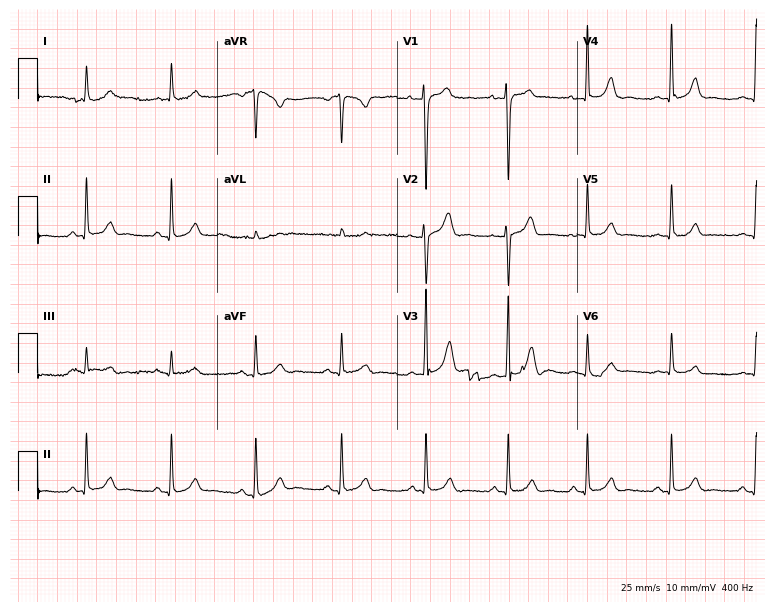
ECG (7.3-second recording at 400 Hz) — a 34-year-old male. Screened for six findings — first-degree AV block, right bundle branch block, left bundle branch block, sinus bradycardia, atrial fibrillation, sinus tachycardia — none is recorded.